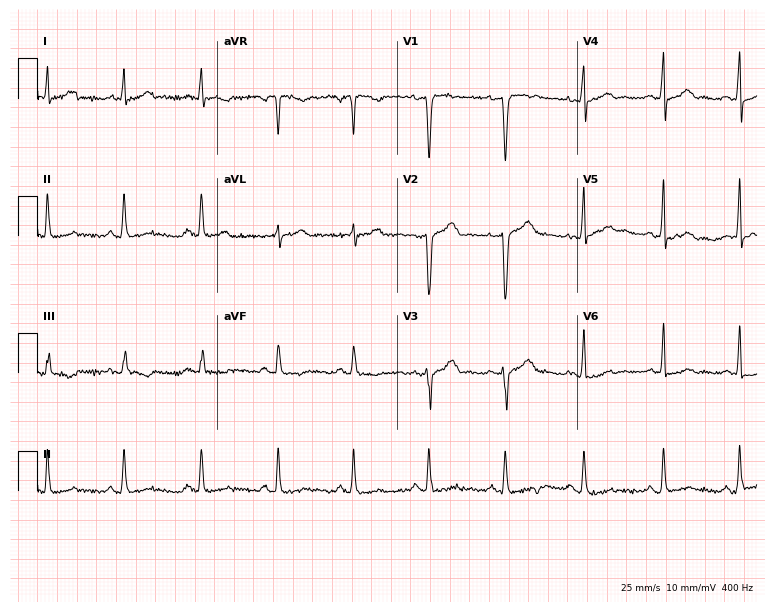
Resting 12-lead electrocardiogram (7.3-second recording at 400 Hz). Patient: a 33-year-old female. None of these six findings is recorded: first-degree AV block, right bundle branch block (RBBB), left bundle branch block (LBBB), sinus bradycardia, atrial fibrillation (AF), sinus tachycardia.